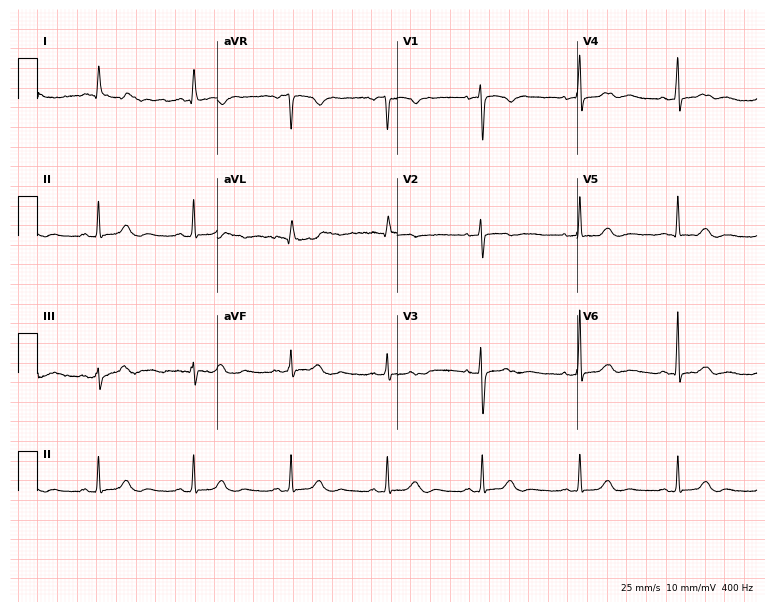
Standard 12-lead ECG recorded from a 51-year-old woman (7.3-second recording at 400 Hz). Read as a normal ECG.